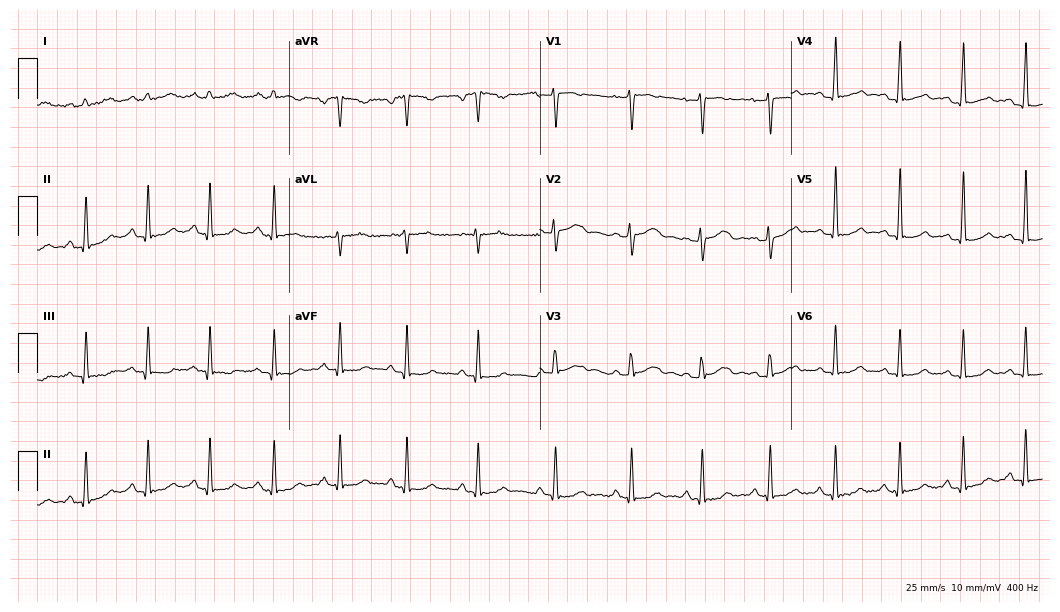
ECG — a female patient, 35 years old. Screened for six findings — first-degree AV block, right bundle branch block (RBBB), left bundle branch block (LBBB), sinus bradycardia, atrial fibrillation (AF), sinus tachycardia — none is recorded. Only these six findings were labelled.